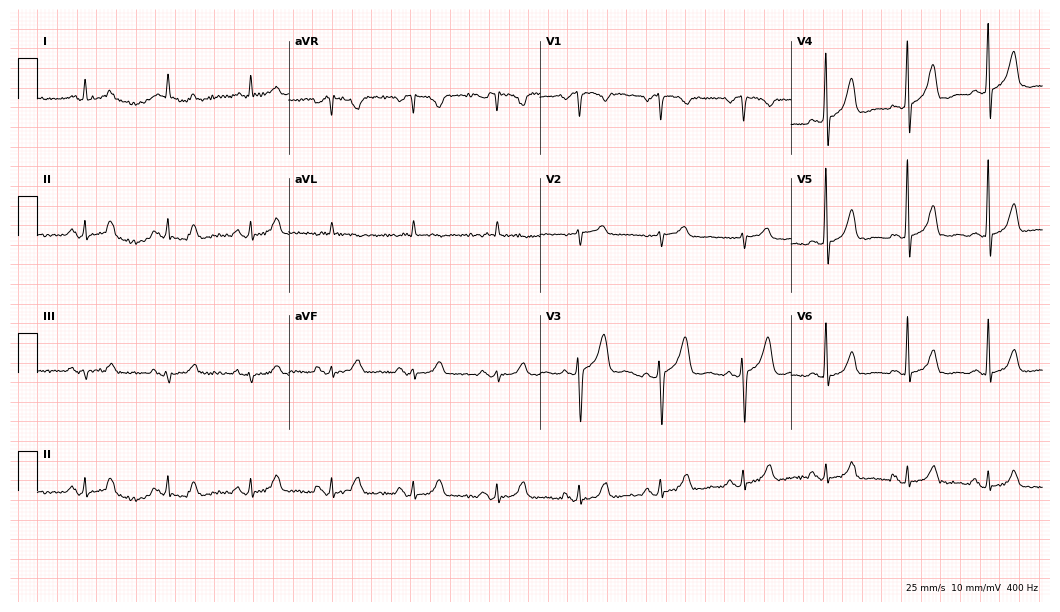
12-lead ECG from a male patient, 58 years old (10.2-second recording at 400 Hz). No first-degree AV block, right bundle branch block, left bundle branch block, sinus bradycardia, atrial fibrillation or sinus tachycardia recorded for this tracing.